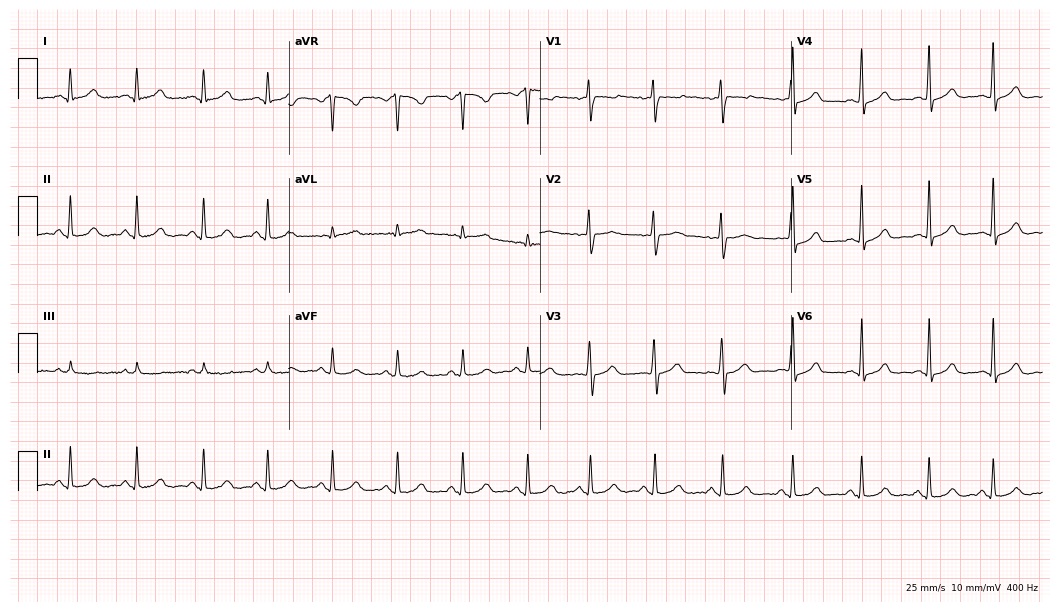
Electrocardiogram (10.2-second recording at 400 Hz), a female, 26 years old. Overall reading on record: normal ECG.